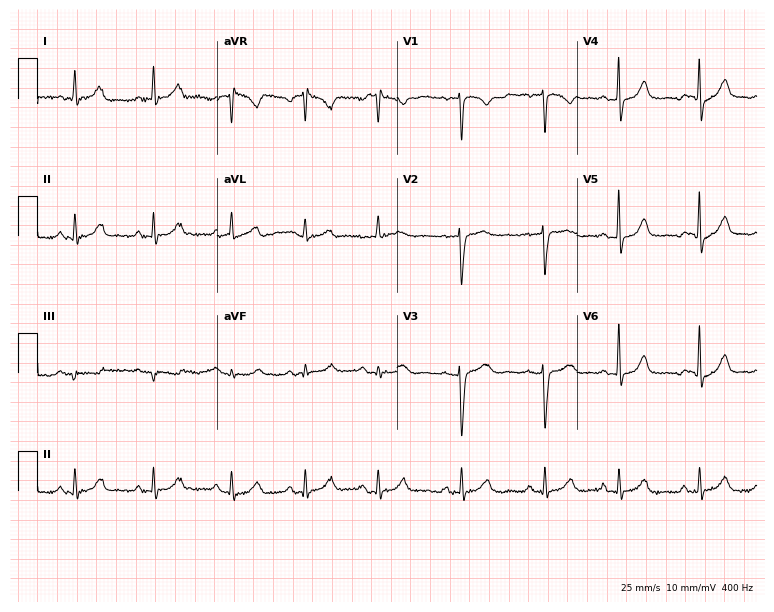
ECG — a female patient, 39 years old. Screened for six findings — first-degree AV block, right bundle branch block (RBBB), left bundle branch block (LBBB), sinus bradycardia, atrial fibrillation (AF), sinus tachycardia — none is recorded.